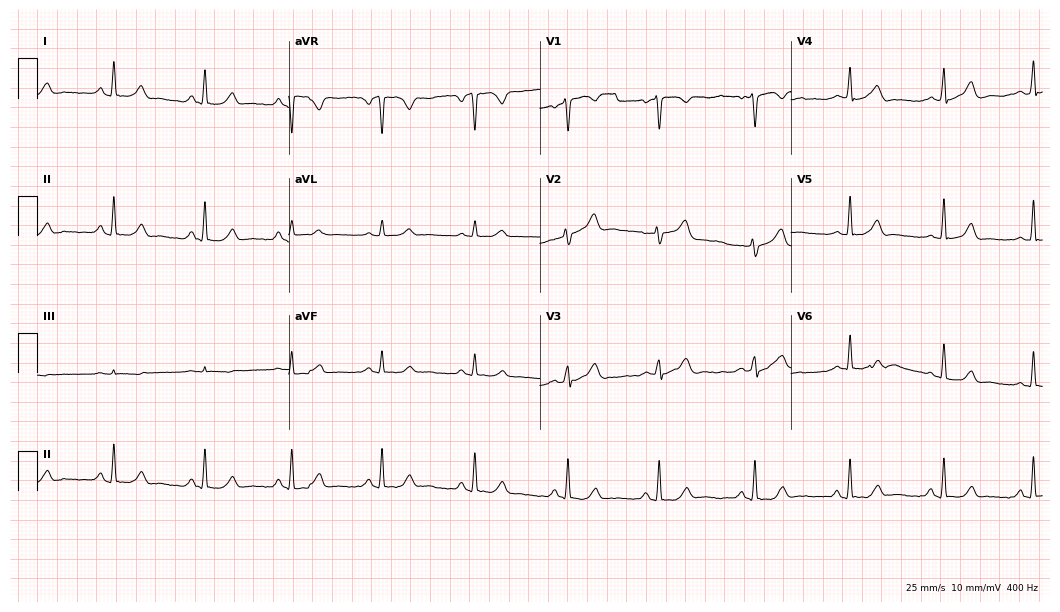
Resting 12-lead electrocardiogram (10.2-second recording at 400 Hz). Patient: a female, 31 years old. Read as a normal ECG.